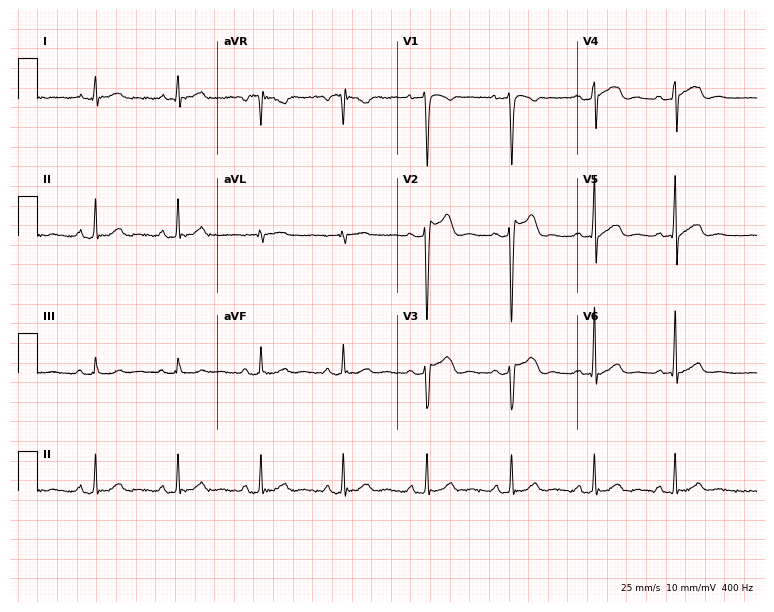
ECG (7.3-second recording at 400 Hz) — a 37-year-old man. Screened for six findings — first-degree AV block, right bundle branch block (RBBB), left bundle branch block (LBBB), sinus bradycardia, atrial fibrillation (AF), sinus tachycardia — none is recorded. Findings outside these six are not listed.